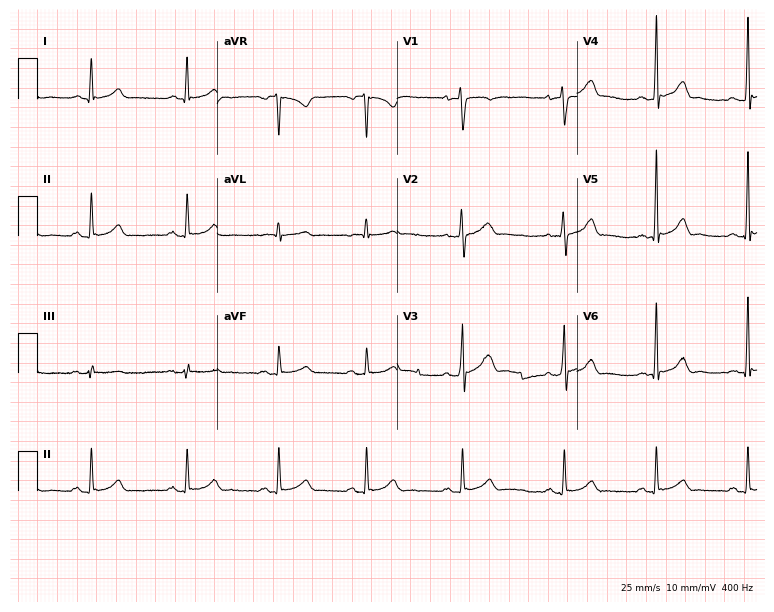
Resting 12-lead electrocardiogram. Patient: a 38-year-old male. Read as a normal ECG.